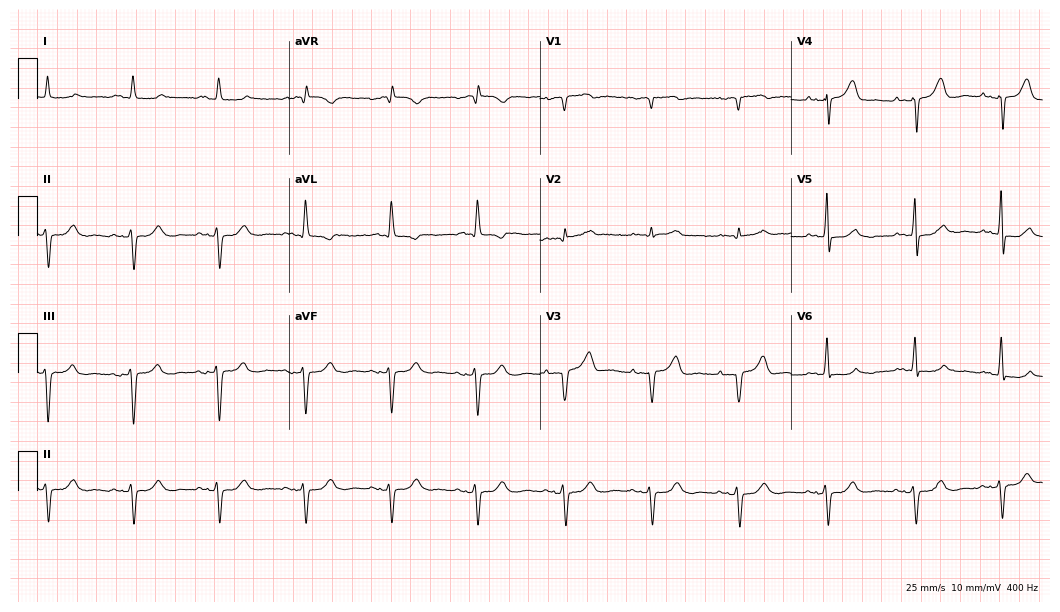
Standard 12-lead ECG recorded from an 85-year-old man. None of these six findings is recorded: first-degree AV block, right bundle branch block, left bundle branch block, sinus bradycardia, atrial fibrillation, sinus tachycardia.